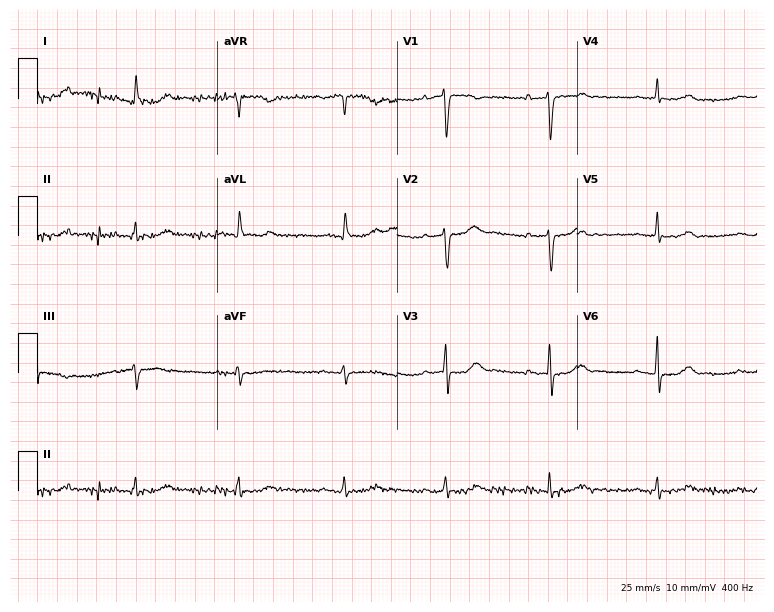
Resting 12-lead electrocardiogram (7.3-second recording at 400 Hz). Patient: a female, 67 years old. Read as a normal ECG.